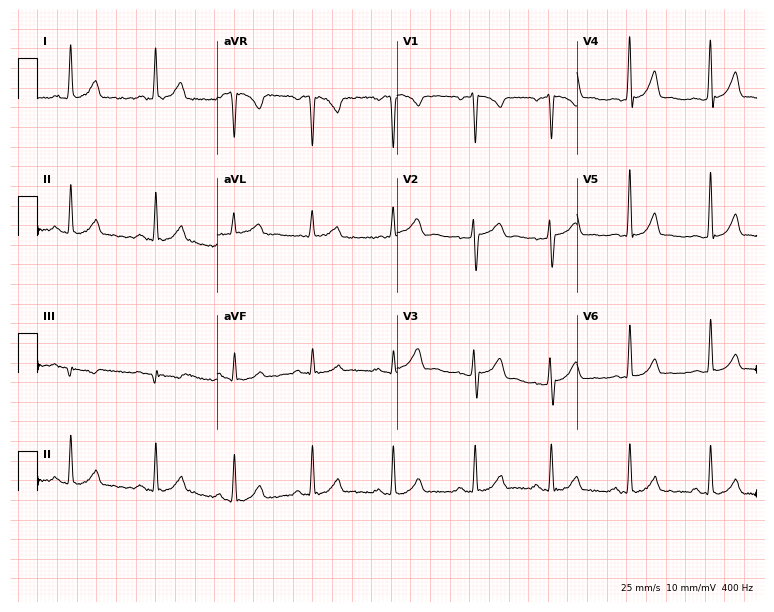
Resting 12-lead electrocardiogram (7.3-second recording at 400 Hz). Patient: a female, 41 years old. None of these six findings is recorded: first-degree AV block, right bundle branch block, left bundle branch block, sinus bradycardia, atrial fibrillation, sinus tachycardia.